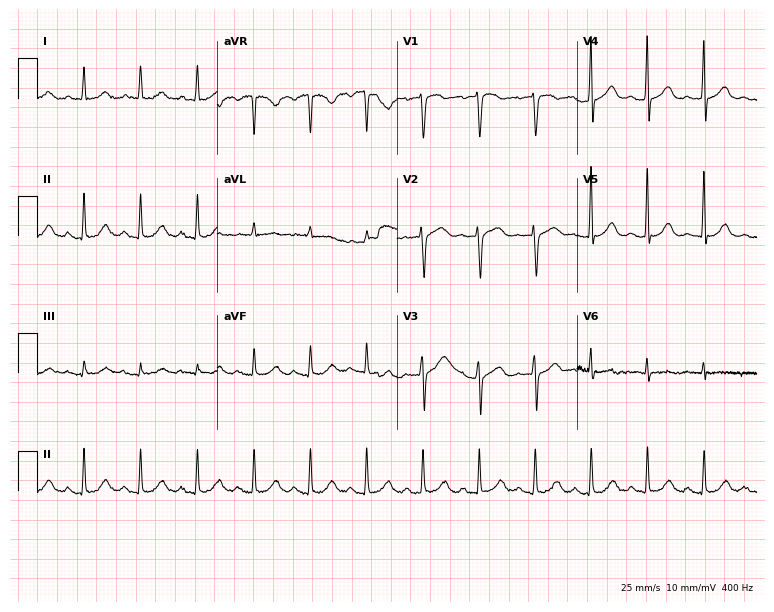
Resting 12-lead electrocardiogram. Patient: a man, 58 years old. The tracing shows sinus tachycardia (a sinus rate of 100 beats per minute or more).